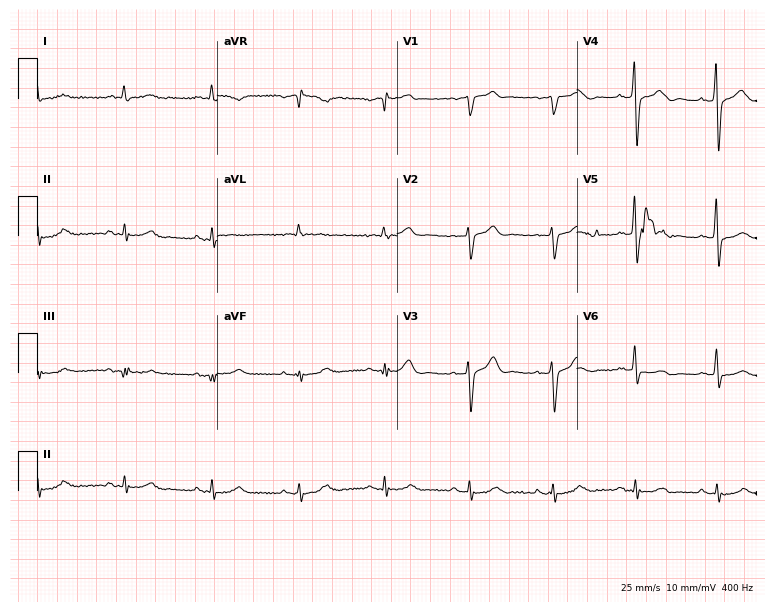
12-lead ECG from a 68-year-old man. Screened for six findings — first-degree AV block, right bundle branch block (RBBB), left bundle branch block (LBBB), sinus bradycardia, atrial fibrillation (AF), sinus tachycardia — none is recorded.